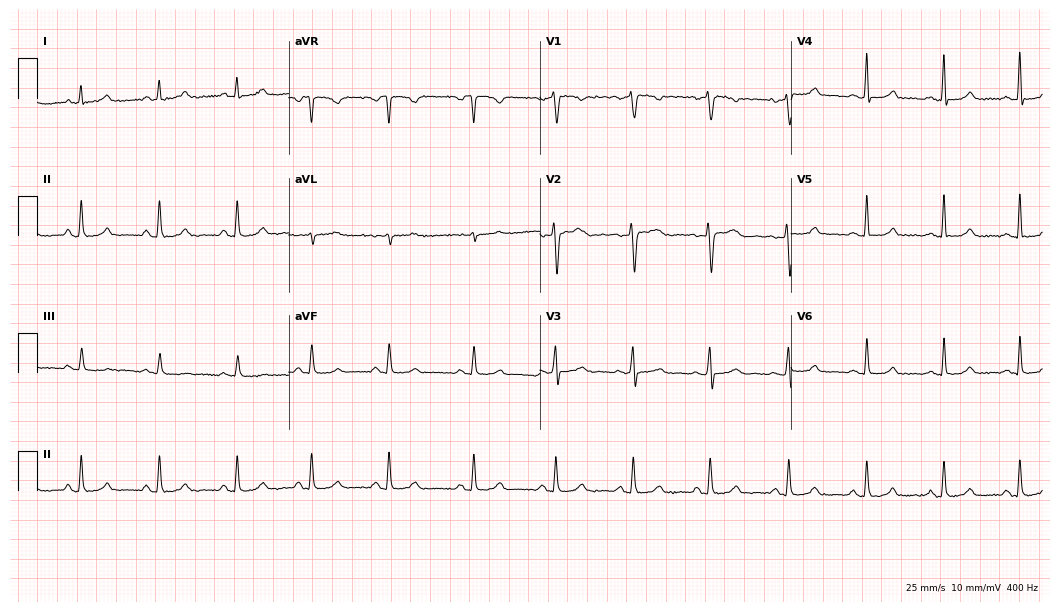
12-lead ECG from a woman, 50 years old. Labelled as a normal ECG.